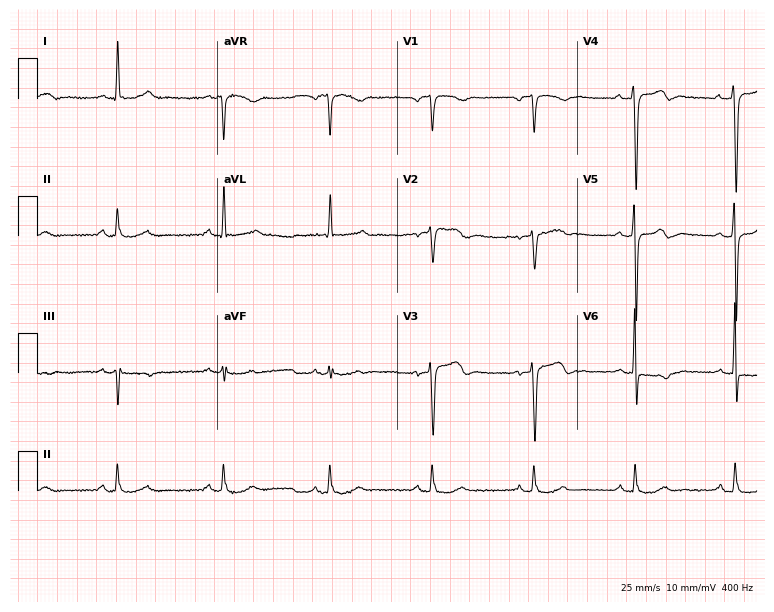
ECG (7.3-second recording at 400 Hz) — a 69-year-old male. Screened for six findings — first-degree AV block, right bundle branch block, left bundle branch block, sinus bradycardia, atrial fibrillation, sinus tachycardia — none is recorded.